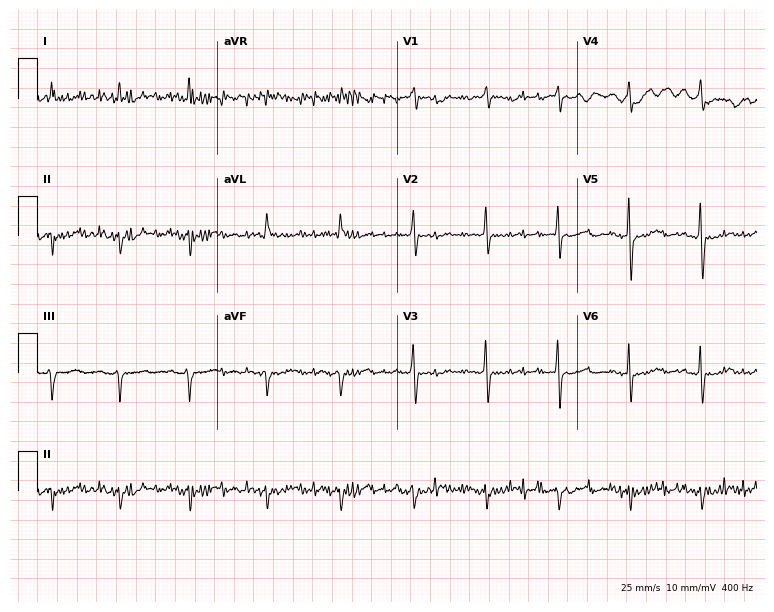
12-lead ECG (7.3-second recording at 400 Hz) from an 83-year-old female patient. Screened for six findings — first-degree AV block, right bundle branch block (RBBB), left bundle branch block (LBBB), sinus bradycardia, atrial fibrillation (AF), sinus tachycardia — none is recorded. Other findings, if any, are not listed.